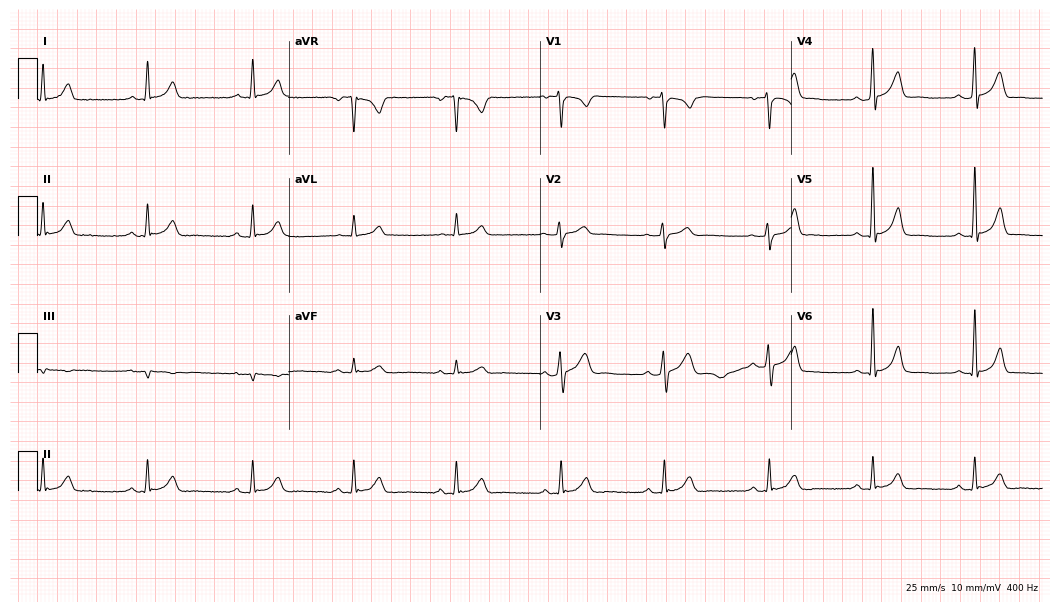
ECG — a 41-year-old male. Screened for six findings — first-degree AV block, right bundle branch block (RBBB), left bundle branch block (LBBB), sinus bradycardia, atrial fibrillation (AF), sinus tachycardia — none is recorded.